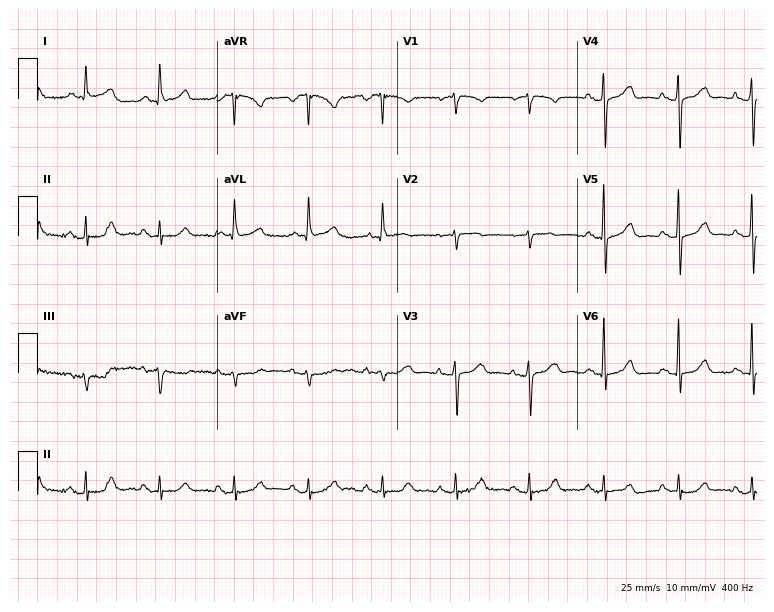
ECG — an 83-year-old female. Screened for six findings — first-degree AV block, right bundle branch block, left bundle branch block, sinus bradycardia, atrial fibrillation, sinus tachycardia — none is recorded. Only these six findings were labelled.